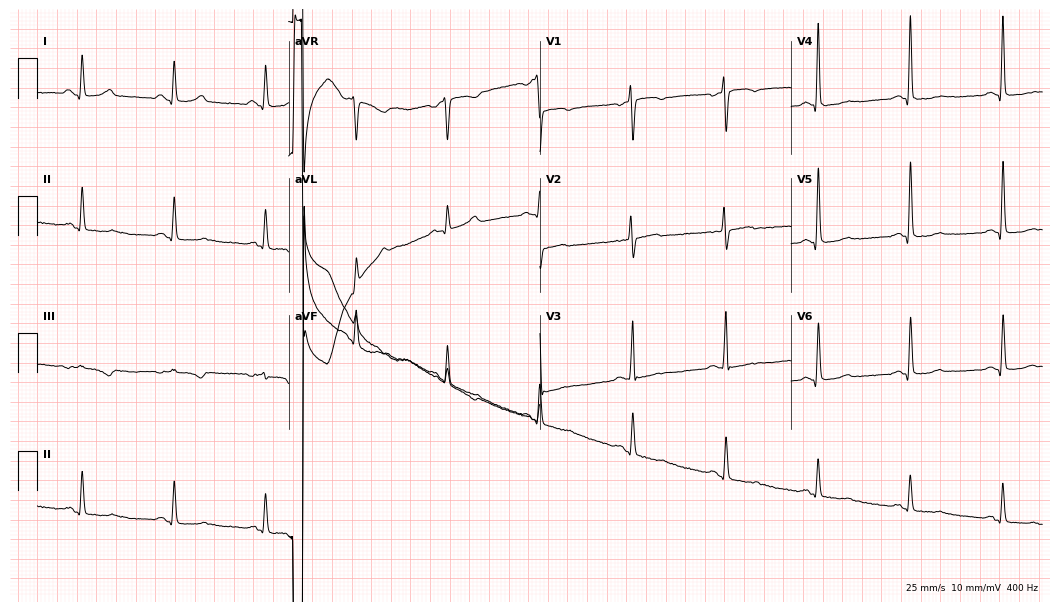
12-lead ECG from a female, 61 years old. No first-degree AV block, right bundle branch block (RBBB), left bundle branch block (LBBB), sinus bradycardia, atrial fibrillation (AF) or sinus tachycardia recorded for this tracing. Only these six findings were labelled.